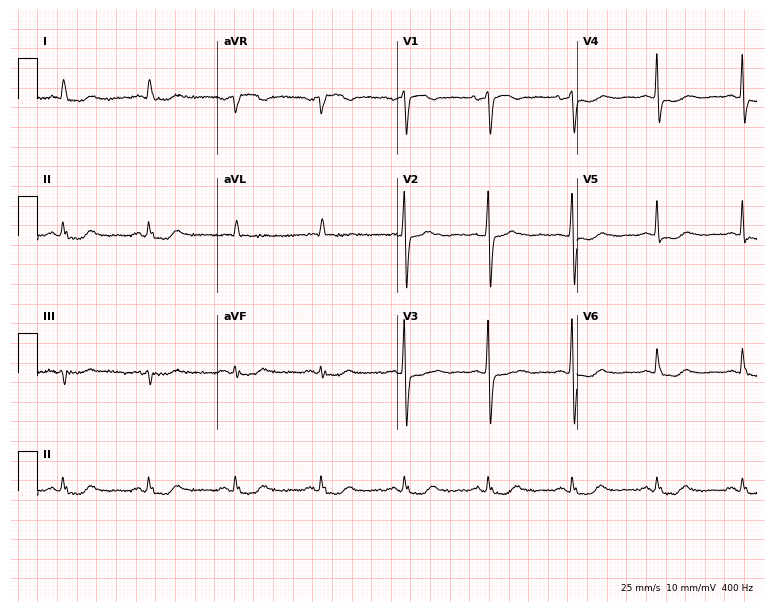
ECG (7.3-second recording at 400 Hz) — a woman, 77 years old. Screened for six findings — first-degree AV block, right bundle branch block, left bundle branch block, sinus bradycardia, atrial fibrillation, sinus tachycardia — none is recorded.